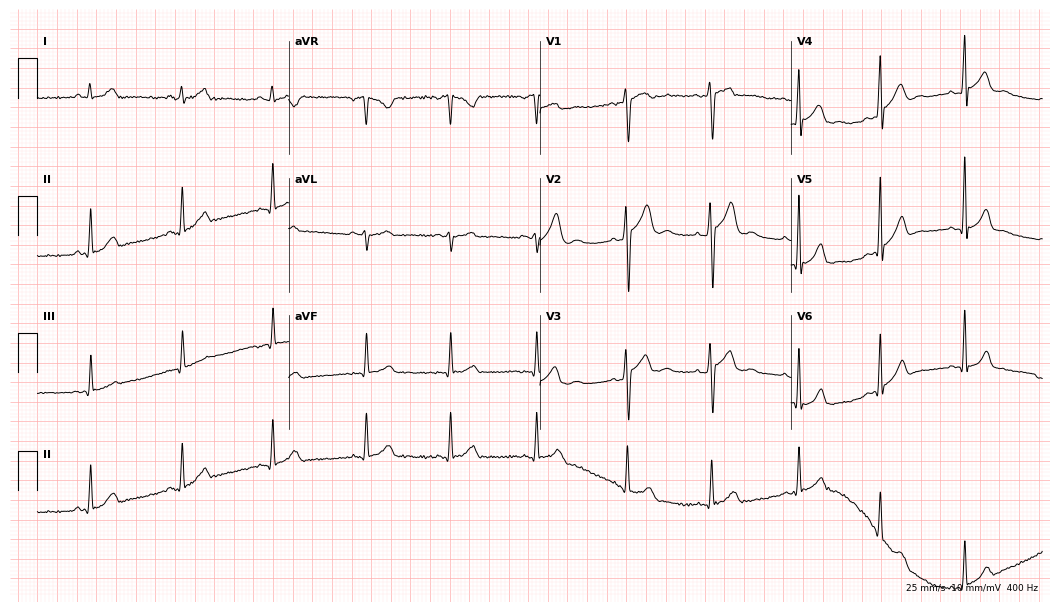
Standard 12-lead ECG recorded from a man, 22 years old (10.2-second recording at 400 Hz). Read as a normal ECG.